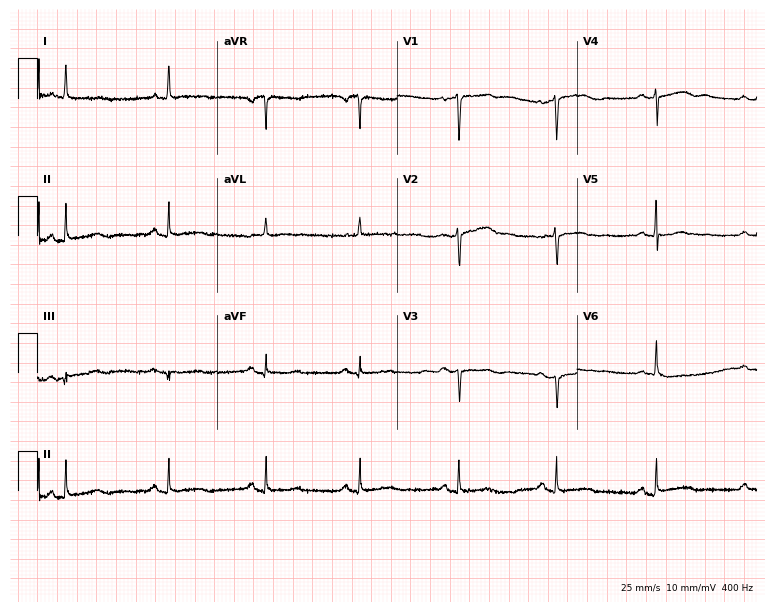
Electrocardiogram (7.3-second recording at 400 Hz), a woman, 62 years old. Of the six screened findings (first-degree AV block, right bundle branch block, left bundle branch block, sinus bradycardia, atrial fibrillation, sinus tachycardia), none is recorded. Findings outside these six are not listed.